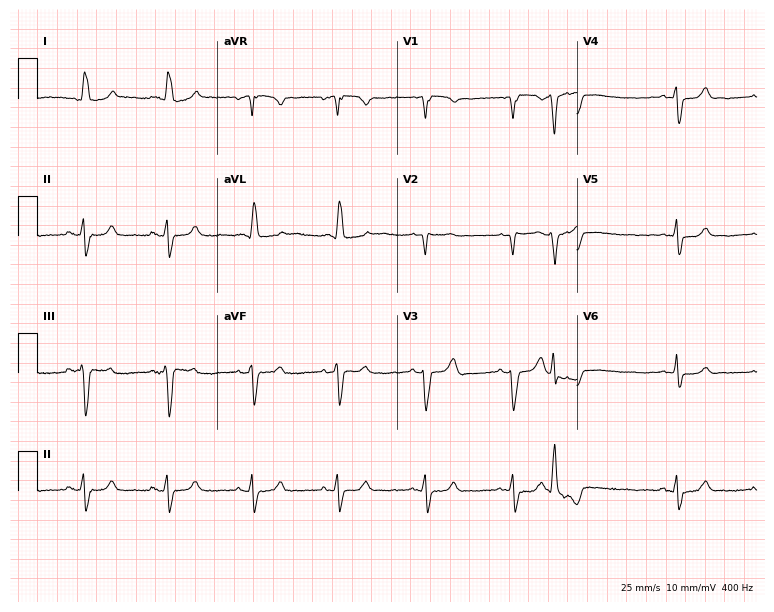
Standard 12-lead ECG recorded from a female, 84 years old (7.3-second recording at 400 Hz). None of these six findings is recorded: first-degree AV block, right bundle branch block, left bundle branch block, sinus bradycardia, atrial fibrillation, sinus tachycardia. Other findings, if any, are not listed.